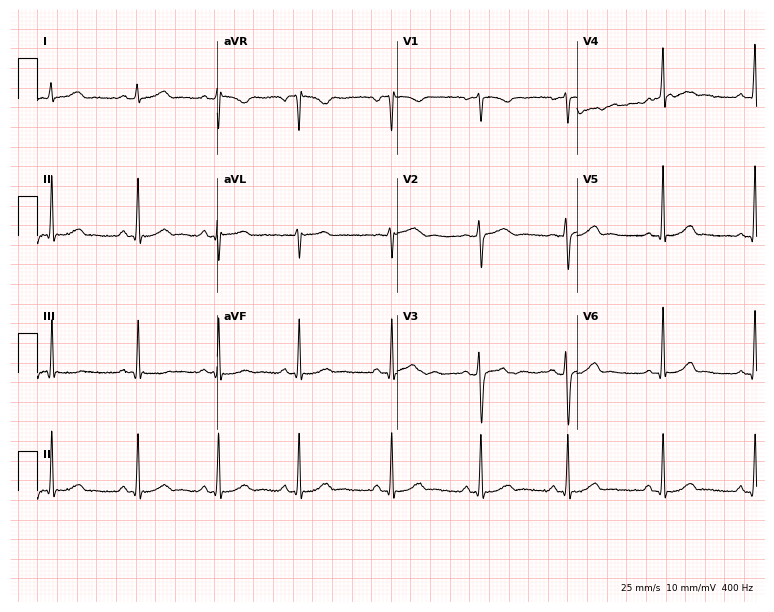
12-lead ECG from a 26-year-old woman. Recorded interpretation: within normal limits.